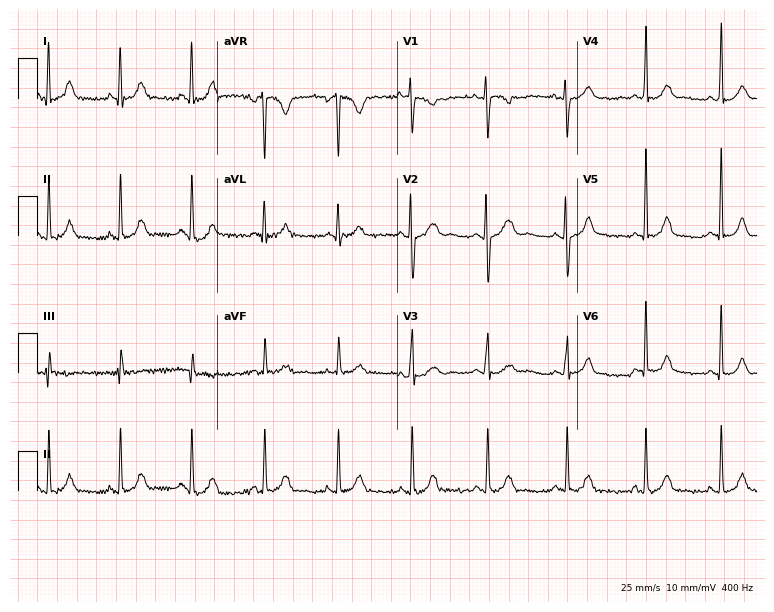
ECG — a woman, 17 years old. Screened for six findings — first-degree AV block, right bundle branch block, left bundle branch block, sinus bradycardia, atrial fibrillation, sinus tachycardia — none is recorded. Findings outside these six are not listed.